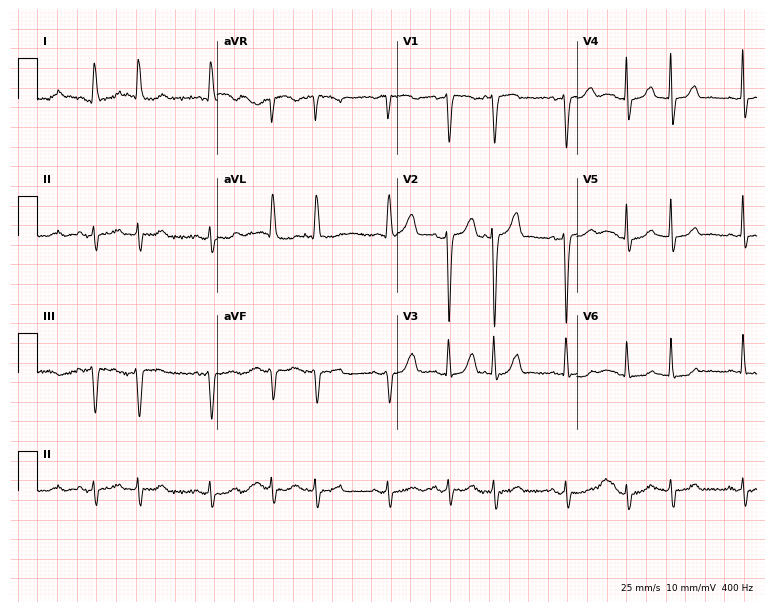
12-lead ECG from a woman, 84 years old. Shows atrial fibrillation.